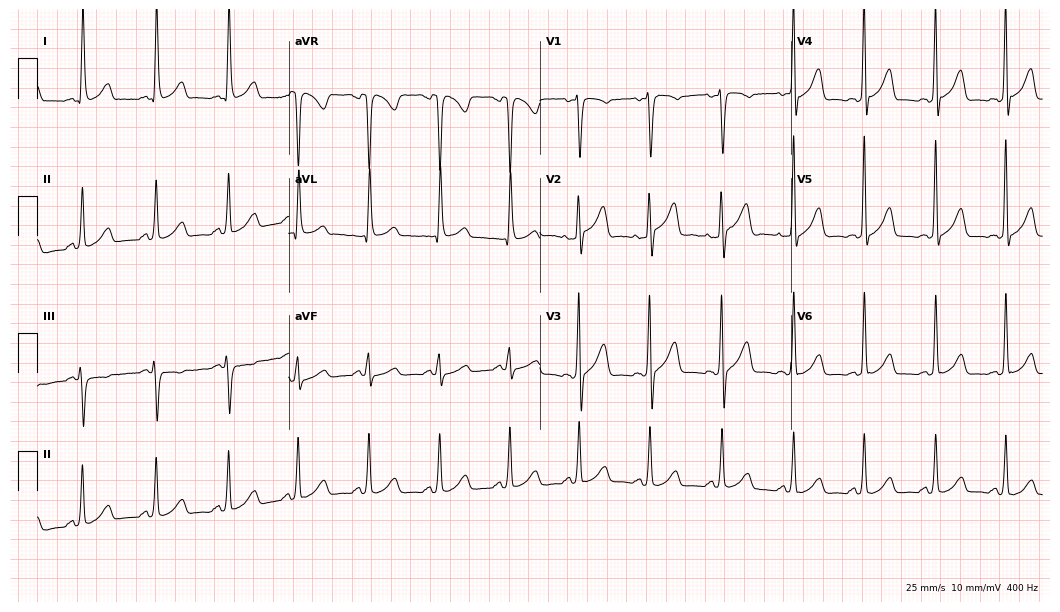
Electrocardiogram (10.2-second recording at 400 Hz), a 39-year-old female patient. Of the six screened findings (first-degree AV block, right bundle branch block (RBBB), left bundle branch block (LBBB), sinus bradycardia, atrial fibrillation (AF), sinus tachycardia), none is recorded. Only these six findings were labelled.